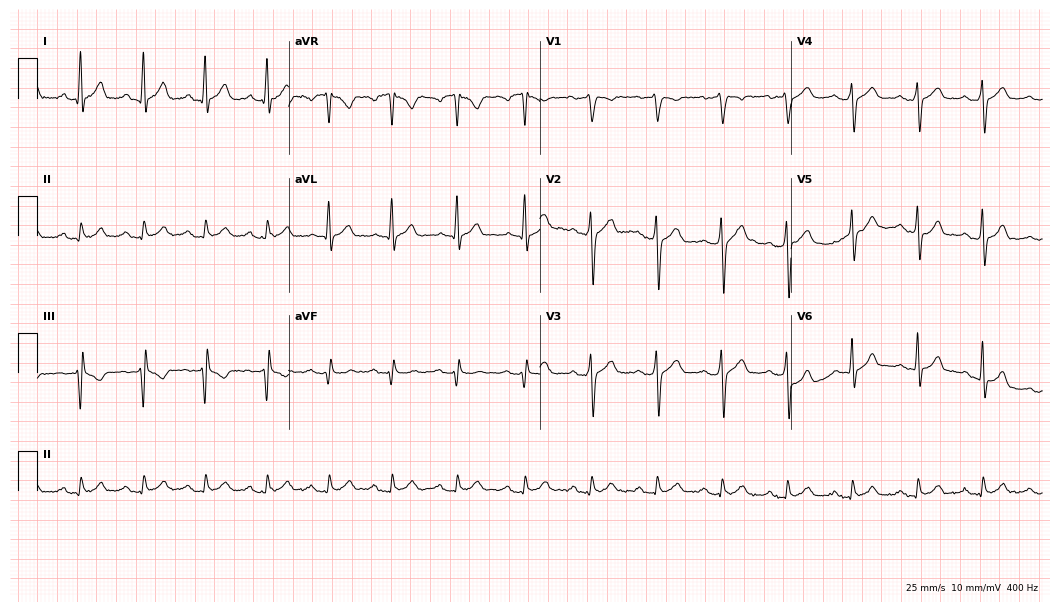
Electrocardiogram (10.2-second recording at 400 Hz), a 44-year-old man. Overall reading on record: normal ECG.